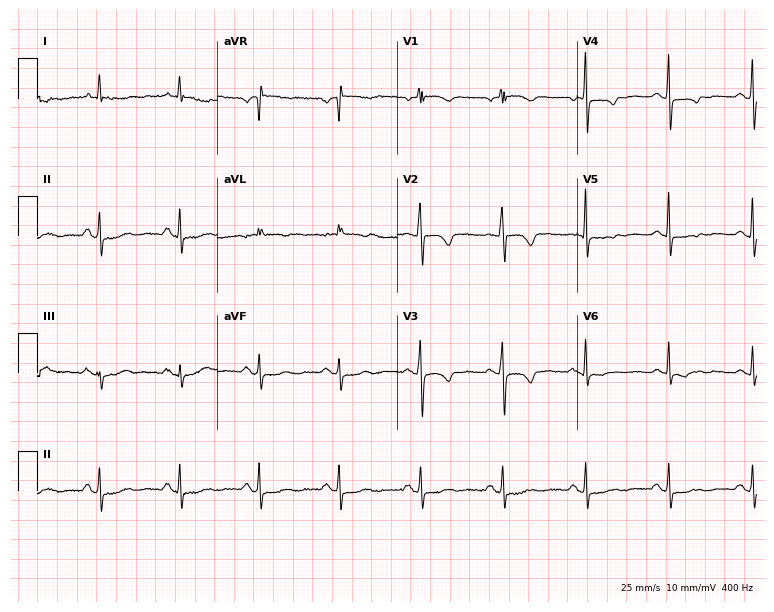
ECG (7.3-second recording at 400 Hz) — a female patient, 71 years old. Screened for six findings — first-degree AV block, right bundle branch block, left bundle branch block, sinus bradycardia, atrial fibrillation, sinus tachycardia — none is recorded. Other findings, if any, are not listed.